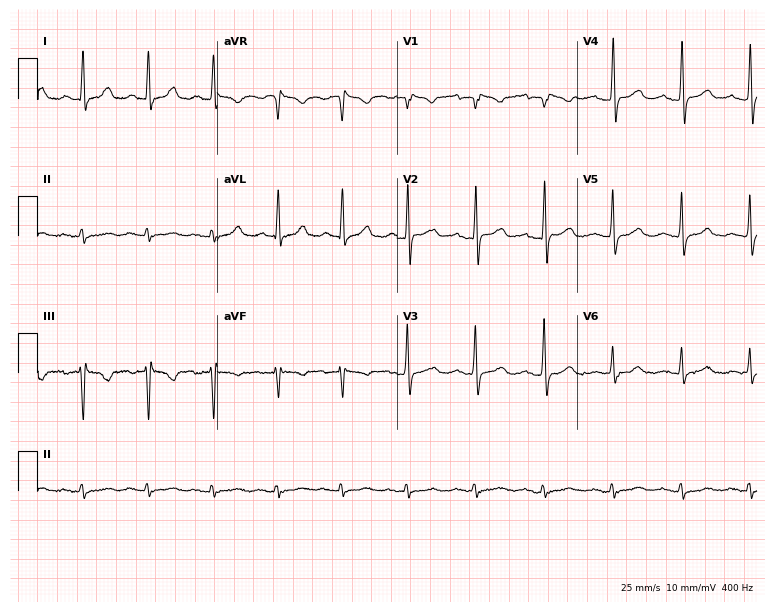
ECG — a 54-year-old woman. Screened for six findings — first-degree AV block, right bundle branch block, left bundle branch block, sinus bradycardia, atrial fibrillation, sinus tachycardia — none is recorded. Only these six findings were labelled.